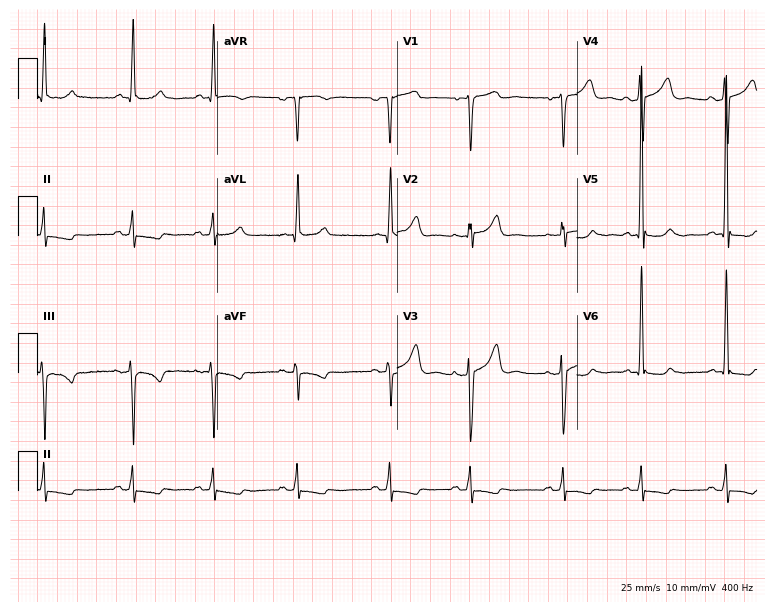
12-lead ECG from a 54-year-old male. No first-degree AV block, right bundle branch block, left bundle branch block, sinus bradycardia, atrial fibrillation or sinus tachycardia recorded for this tracing. Other findings, if any, are not listed.